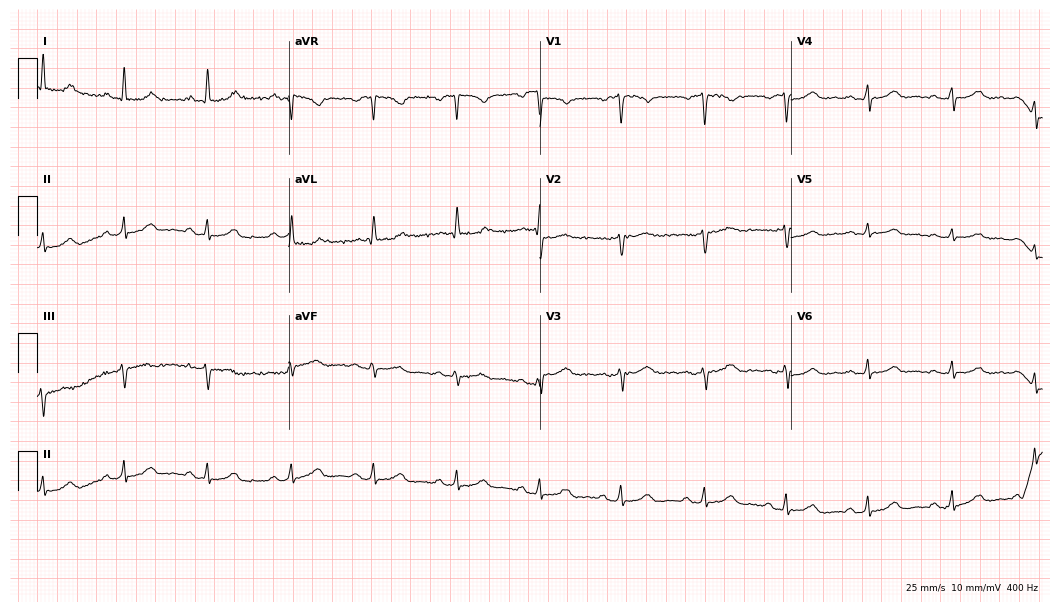
Resting 12-lead electrocardiogram. Patient: a 41-year-old female. Read as a normal ECG.